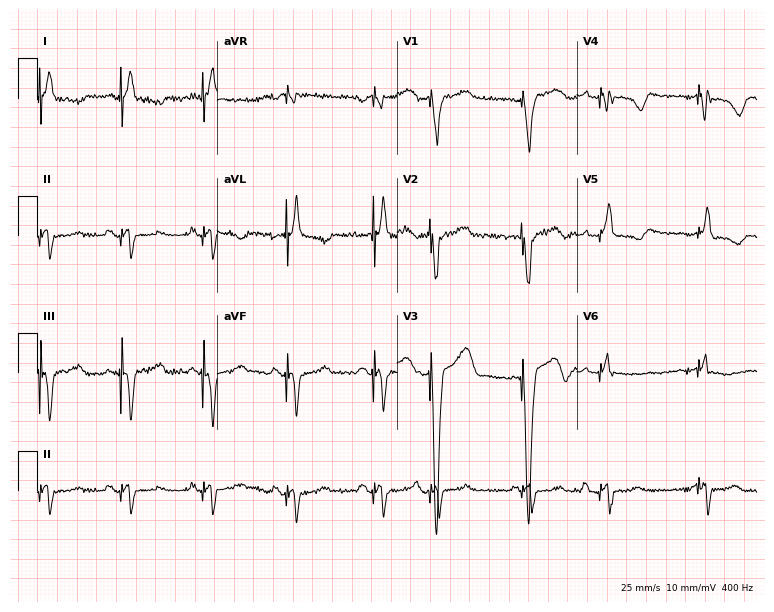
ECG (7.3-second recording at 400 Hz) — a female, 85 years old. Screened for six findings — first-degree AV block, right bundle branch block, left bundle branch block, sinus bradycardia, atrial fibrillation, sinus tachycardia — none is recorded.